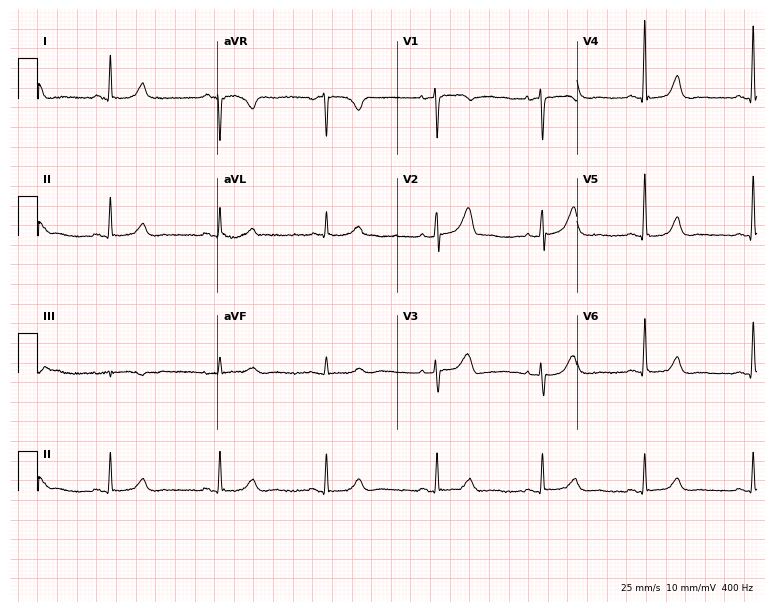
Electrocardiogram, a 59-year-old woman. Overall reading on record: normal ECG.